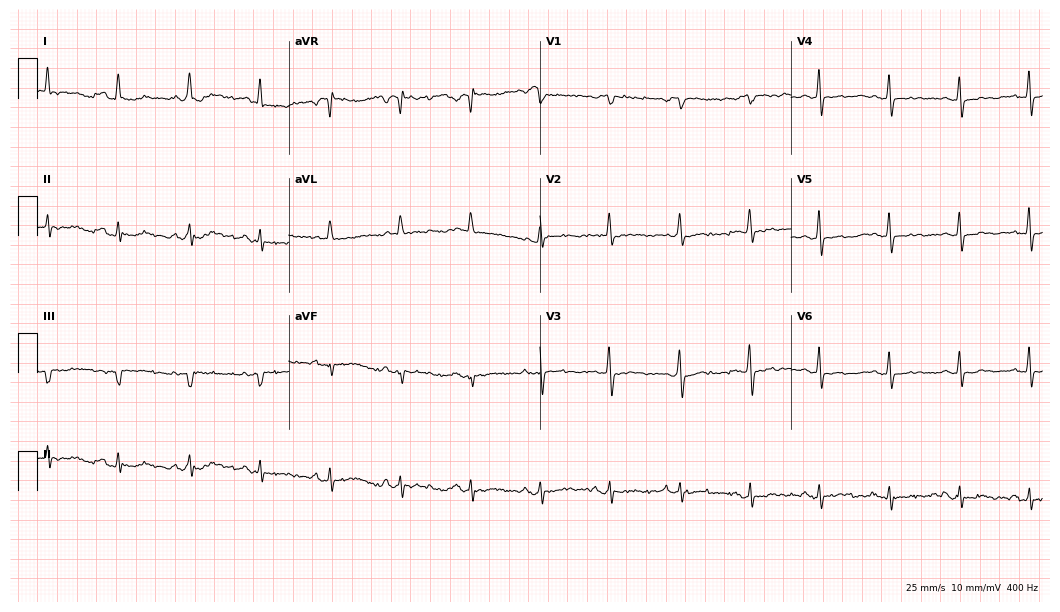
12-lead ECG from an 82-year-old female patient. Screened for six findings — first-degree AV block, right bundle branch block, left bundle branch block, sinus bradycardia, atrial fibrillation, sinus tachycardia — none is recorded. Other findings, if any, are not listed.